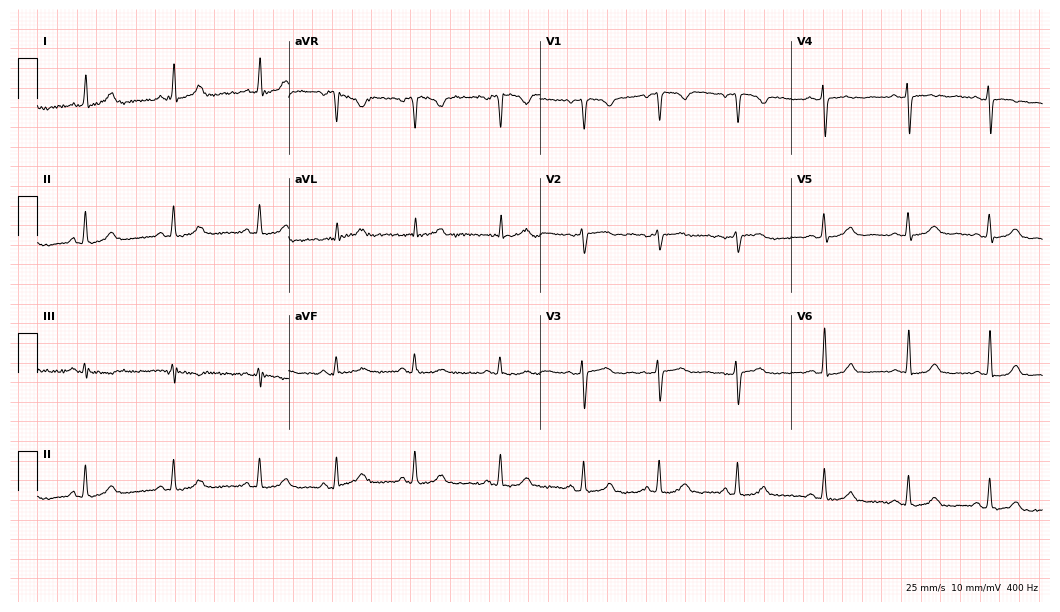
ECG — a 37-year-old female patient. Screened for six findings — first-degree AV block, right bundle branch block (RBBB), left bundle branch block (LBBB), sinus bradycardia, atrial fibrillation (AF), sinus tachycardia — none is recorded.